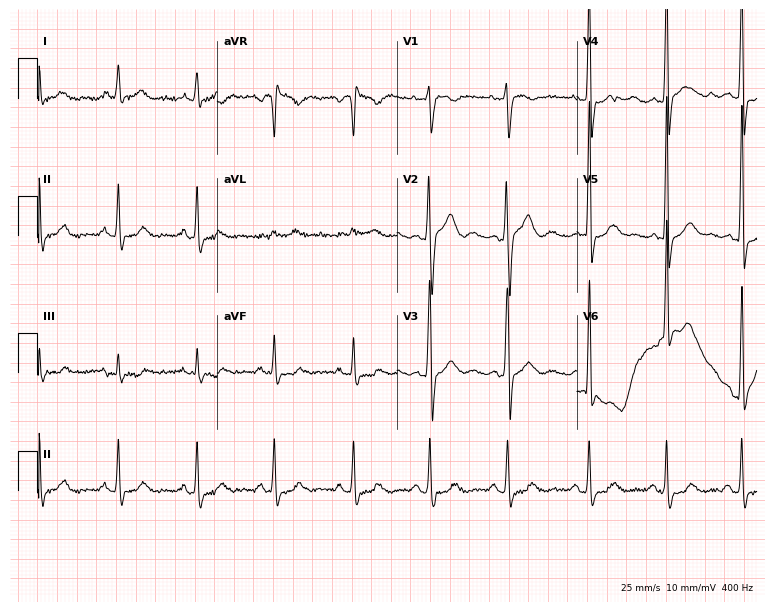
Standard 12-lead ECG recorded from a male, 24 years old. None of these six findings is recorded: first-degree AV block, right bundle branch block (RBBB), left bundle branch block (LBBB), sinus bradycardia, atrial fibrillation (AF), sinus tachycardia. Findings outside these six are not listed.